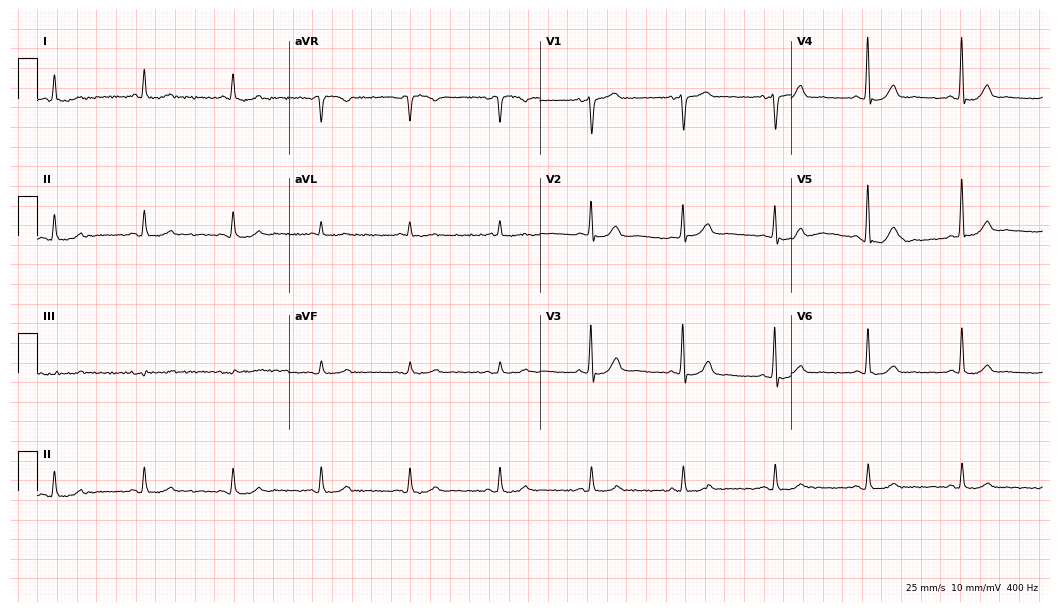
Electrocardiogram (10.2-second recording at 400 Hz), a man, 69 years old. Overall reading on record: normal ECG.